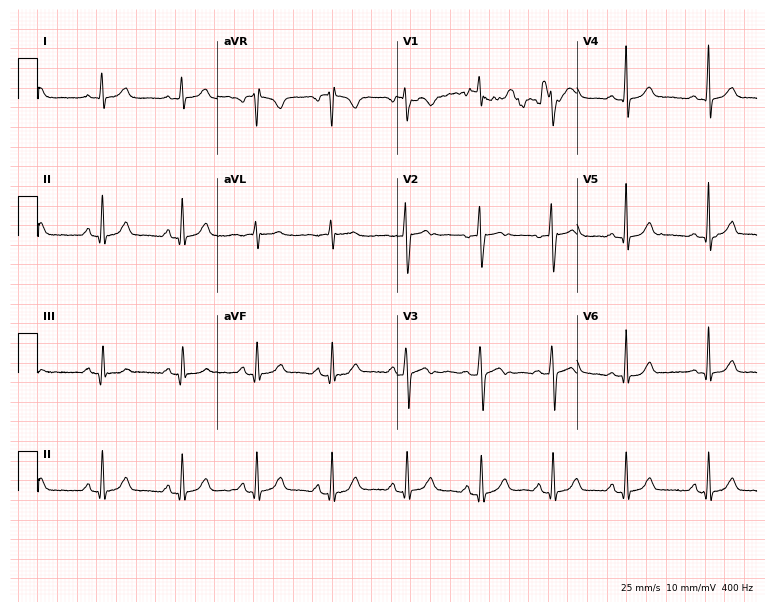
Resting 12-lead electrocardiogram. Patient: a 32-year-old female. None of these six findings is recorded: first-degree AV block, right bundle branch block (RBBB), left bundle branch block (LBBB), sinus bradycardia, atrial fibrillation (AF), sinus tachycardia. Only these six findings were labelled.